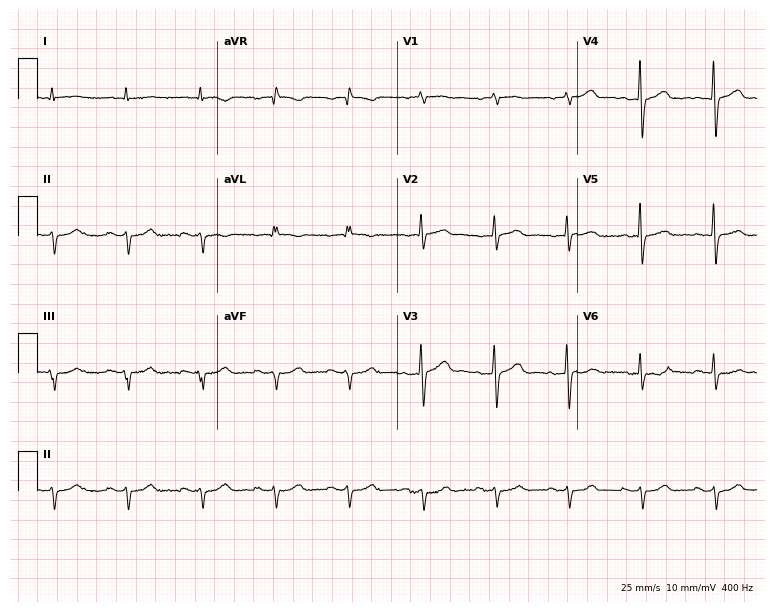
Electrocardiogram, a 78-year-old male. Of the six screened findings (first-degree AV block, right bundle branch block, left bundle branch block, sinus bradycardia, atrial fibrillation, sinus tachycardia), none is recorded. Only these six findings were labelled.